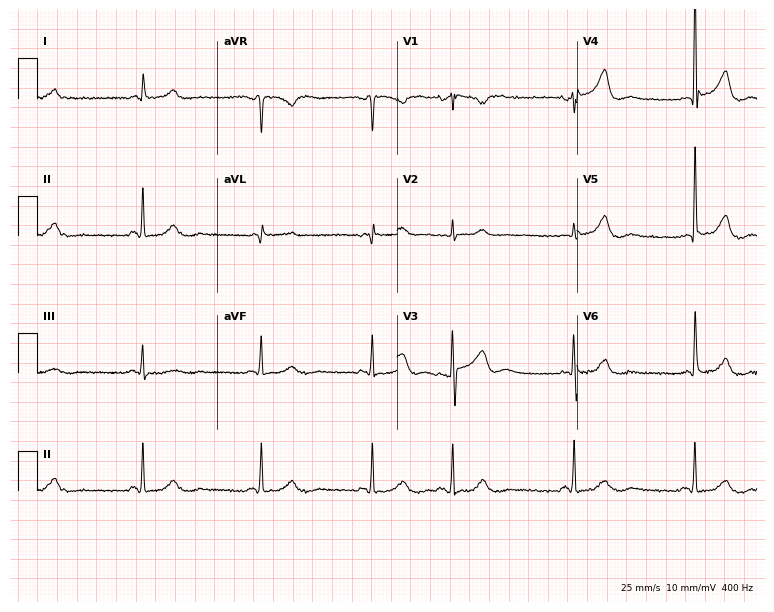
12-lead ECG (7.3-second recording at 400 Hz) from a female, 76 years old. Labelled as a normal ECG.